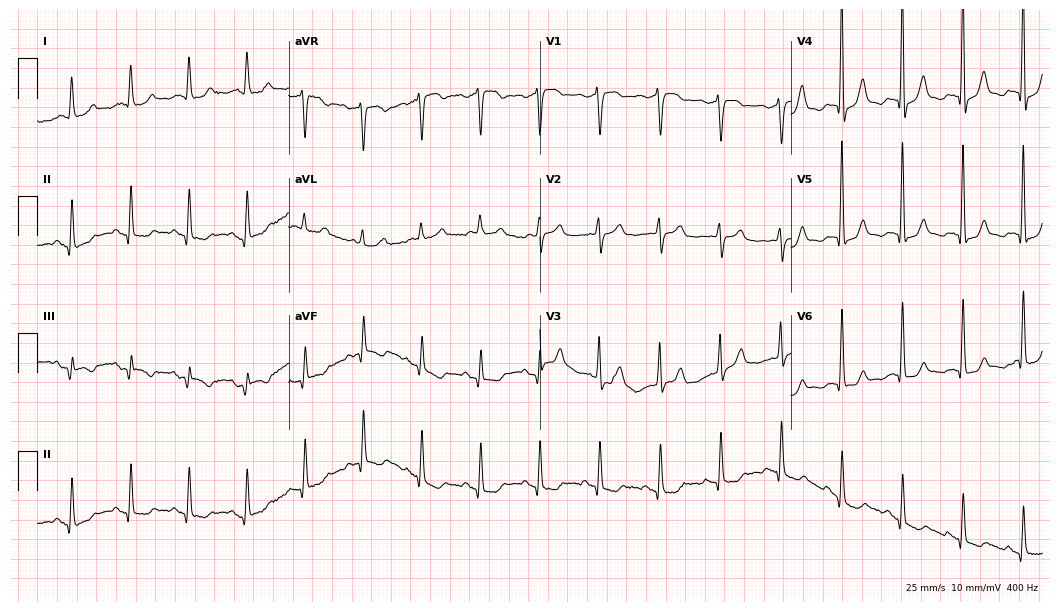
12-lead ECG from a female, 85 years old. Labelled as a normal ECG.